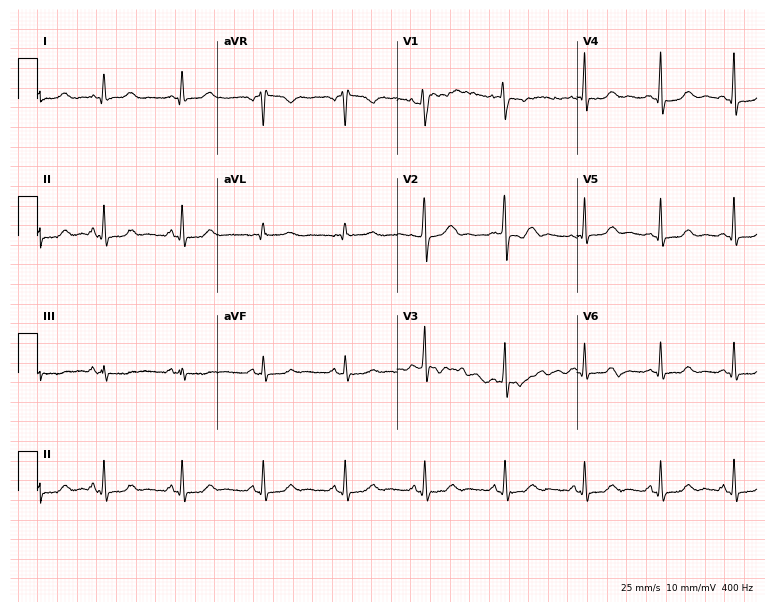
Resting 12-lead electrocardiogram. Patient: a female, 18 years old. None of these six findings is recorded: first-degree AV block, right bundle branch block, left bundle branch block, sinus bradycardia, atrial fibrillation, sinus tachycardia. Findings outside these six are not listed.